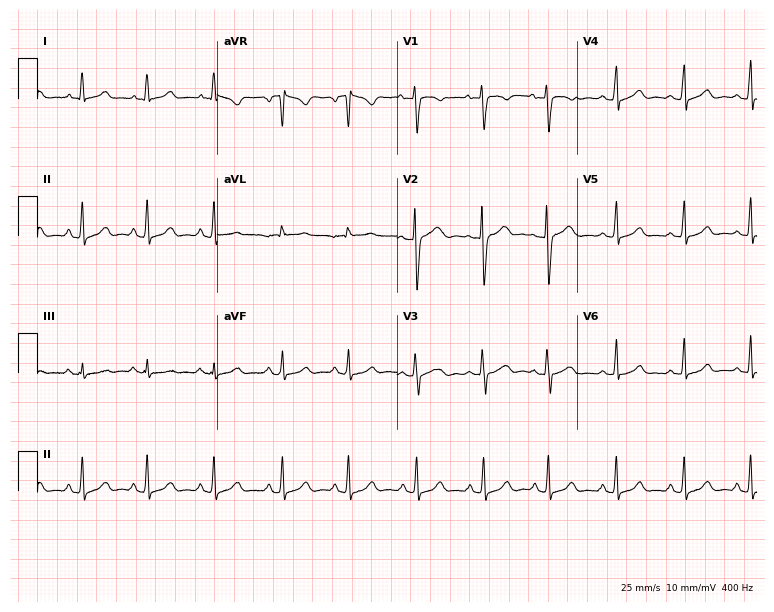
Electrocardiogram (7.3-second recording at 400 Hz), a woman, 17 years old. Overall reading on record: normal ECG.